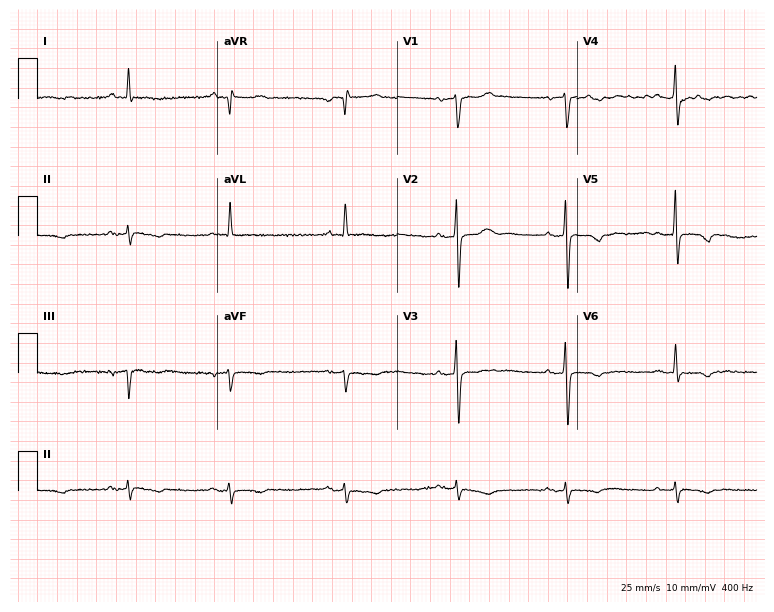
ECG (7.3-second recording at 400 Hz) — a male, 73 years old. Screened for six findings — first-degree AV block, right bundle branch block, left bundle branch block, sinus bradycardia, atrial fibrillation, sinus tachycardia — none is recorded.